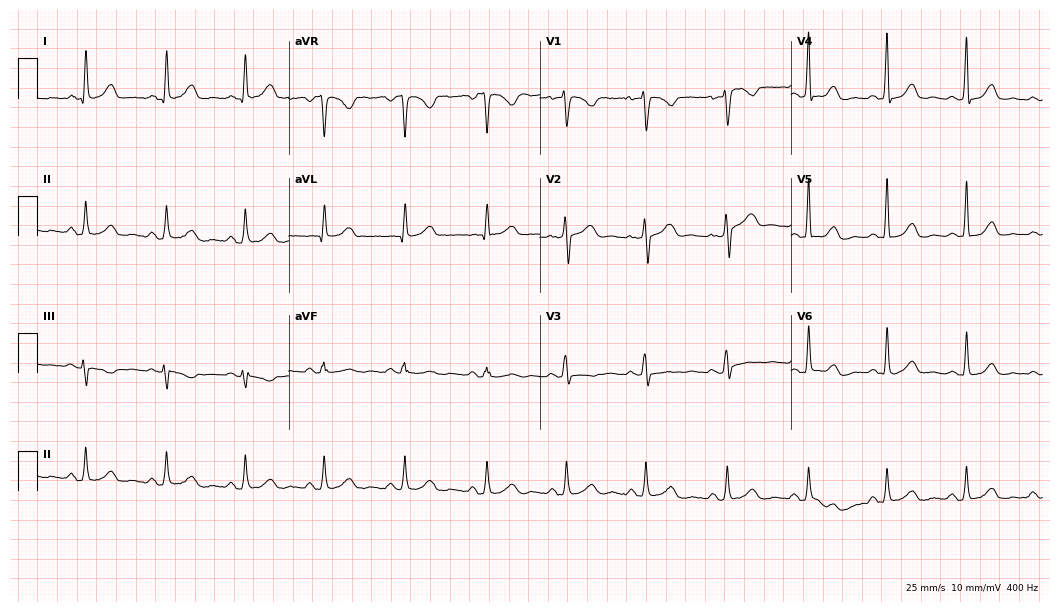
12-lead ECG (10.2-second recording at 400 Hz) from a female, 46 years old. Screened for six findings — first-degree AV block, right bundle branch block (RBBB), left bundle branch block (LBBB), sinus bradycardia, atrial fibrillation (AF), sinus tachycardia — none is recorded.